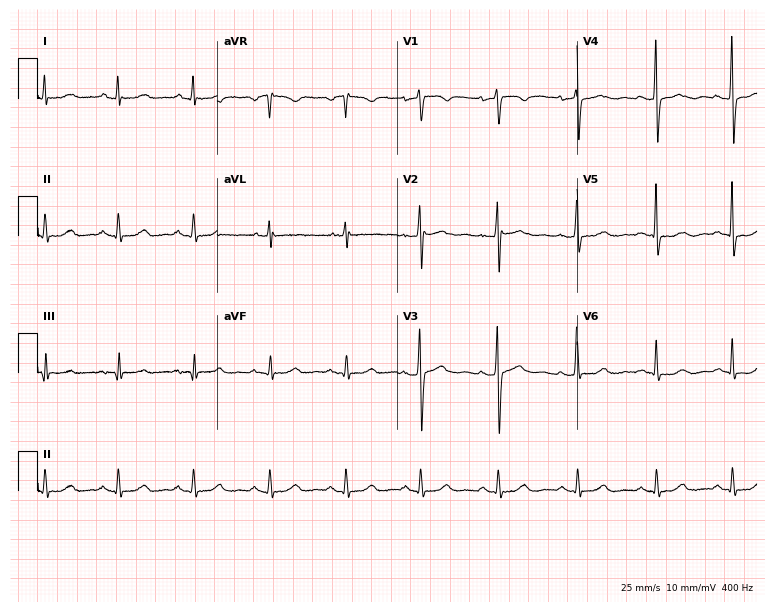
12-lead ECG (7.3-second recording at 400 Hz) from a female, 54 years old. Labelled as a normal ECG.